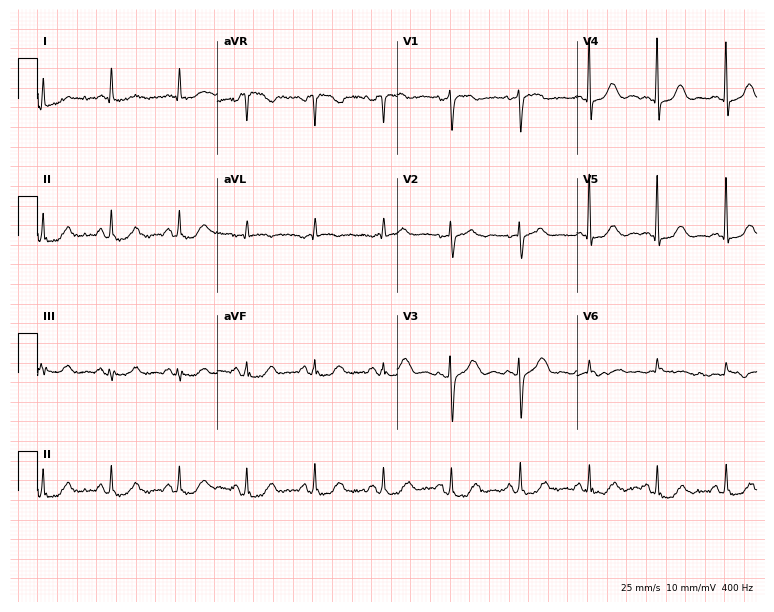
ECG (7.3-second recording at 400 Hz) — a woman, 70 years old. Screened for six findings — first-degree AV block, right bundle branch block, left bundle branch block, sinus bradycardia, atrial fibrillation, sinus tachycardia — none is recorded. Findings outside these six are not listed.